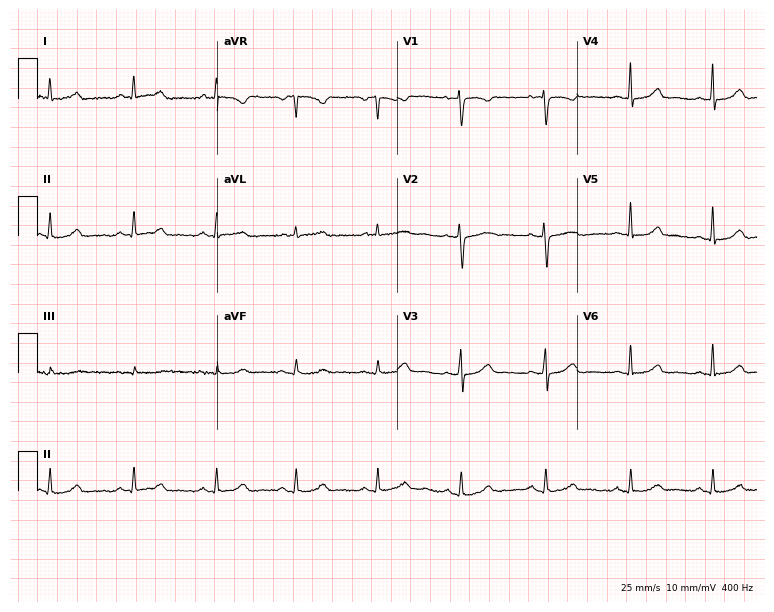
Resting 12-lead electrocardiogram (7.3-second recording at 400 Hz). Patient: a 48-year-old female. Read as a normal ECG.